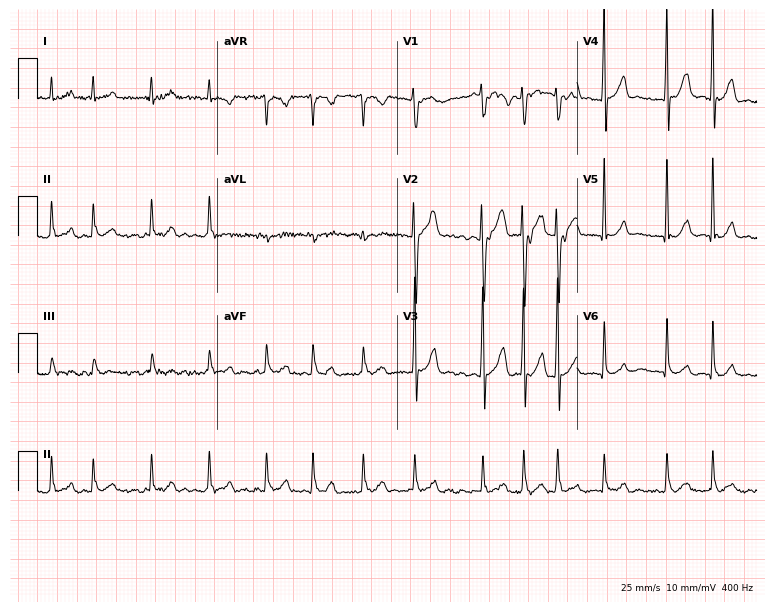
Resting 12-lead electrocardiogram. Patient: a 41-year-old man. The tracing shows atrial fibrillation.